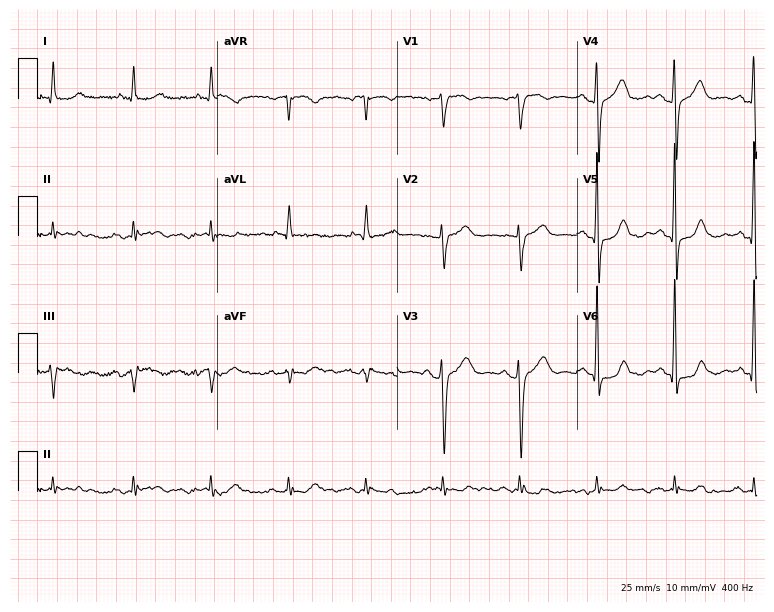
12-lead ECG (7.3-second recording at 400 Hz) from a 76-year-old man. Labelled as a normal ECG.